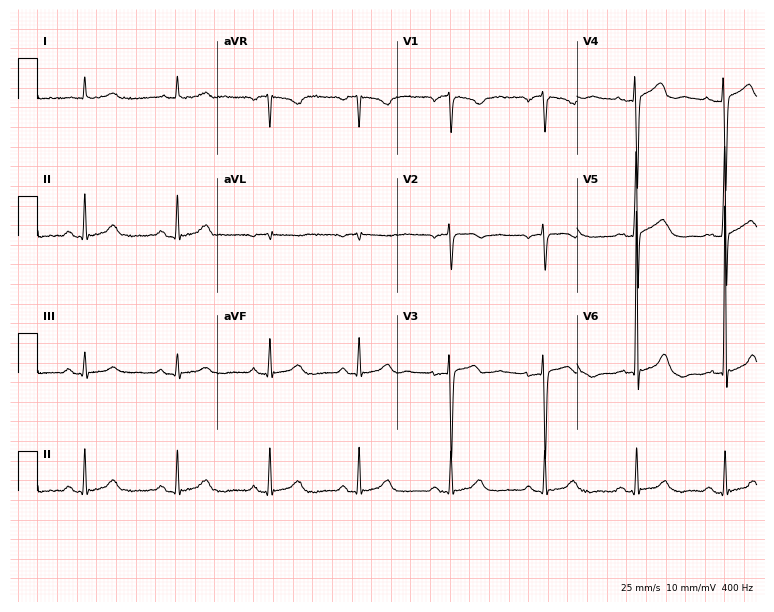
Standard 12-lead ECG recorded from a female, 71 years old (7.3-second recording at 400 Hz). Read as a normal ECG.